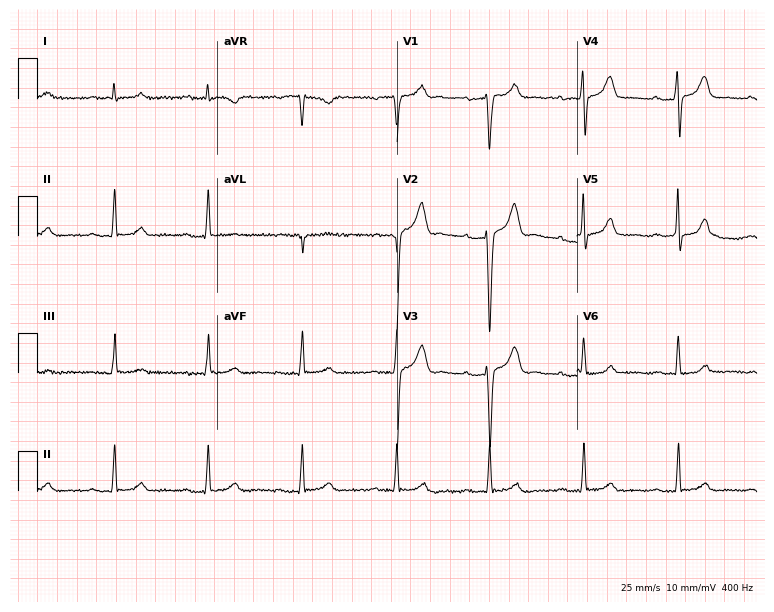
12-lead ECG from a 42-year-old male patient. Screened for six findings — first-degree AV block, right bundle branch block, left bundle branch block, sinus bradycardia, atrial fibrillation, sinus tachycardia — none is recorded. Findings outside these six are not listed.